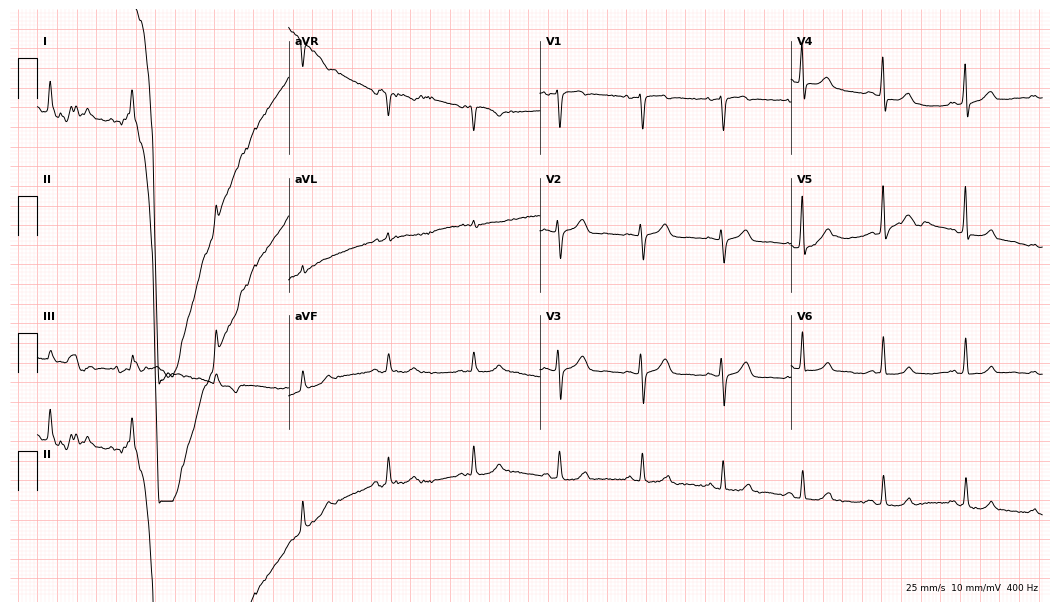
ECG — a 63-year-old female patient. Labelled as a normal ECG.